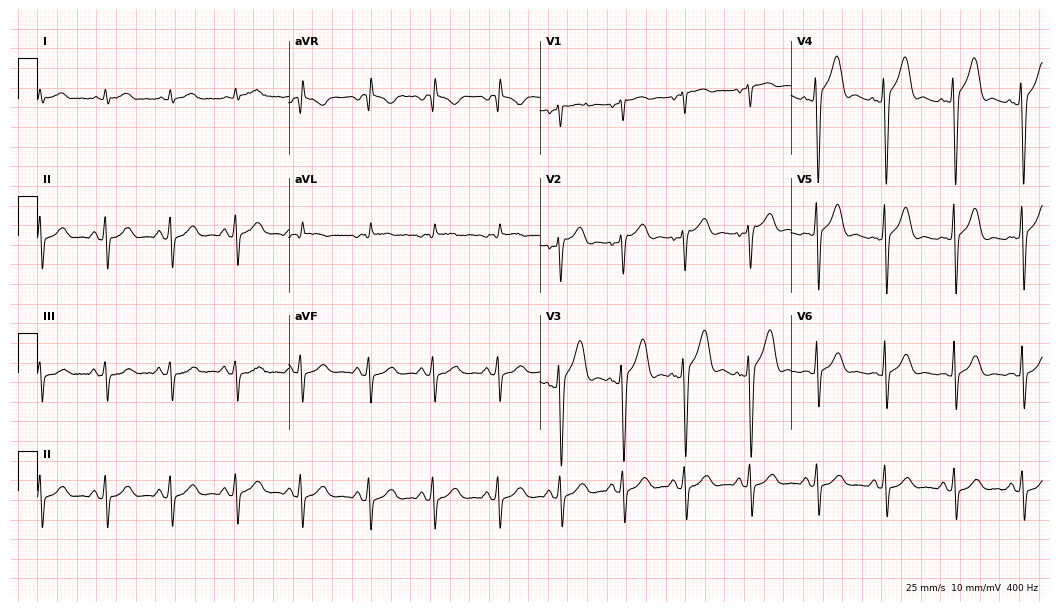
ECG — a 30-year-old female patient. Screened for six findings — first-degree AV block, right bundle branch block, left bundle branch block, sinus bradycardia, atrial fibrillation, sinus tachycardia — none is recorded.